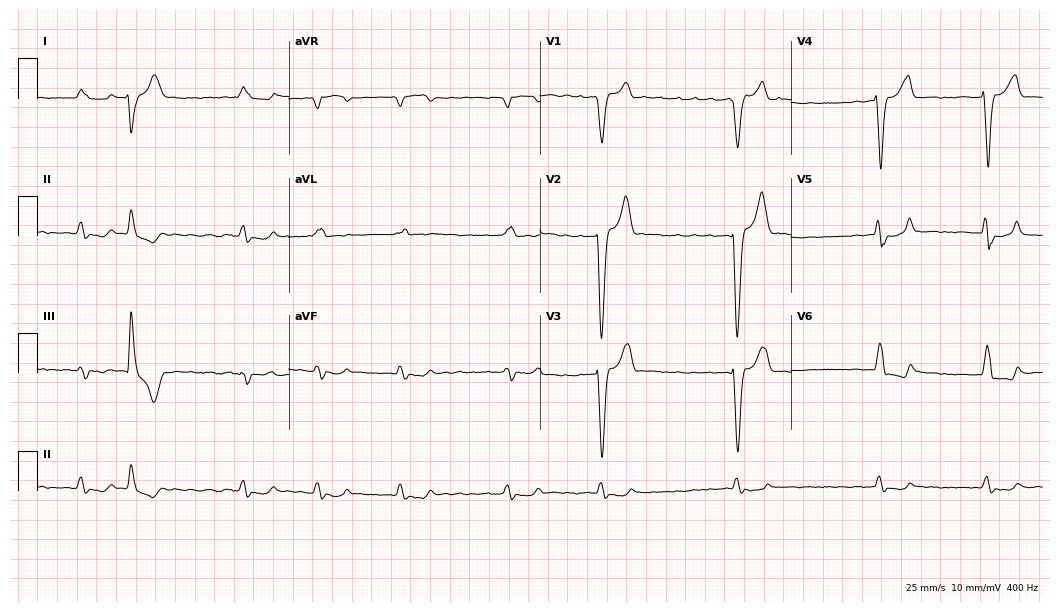
Electrocardiogram, a 76-year-old male. Interpretation includes left bundle branch block (LBBB), atrial fibrillation (AF).